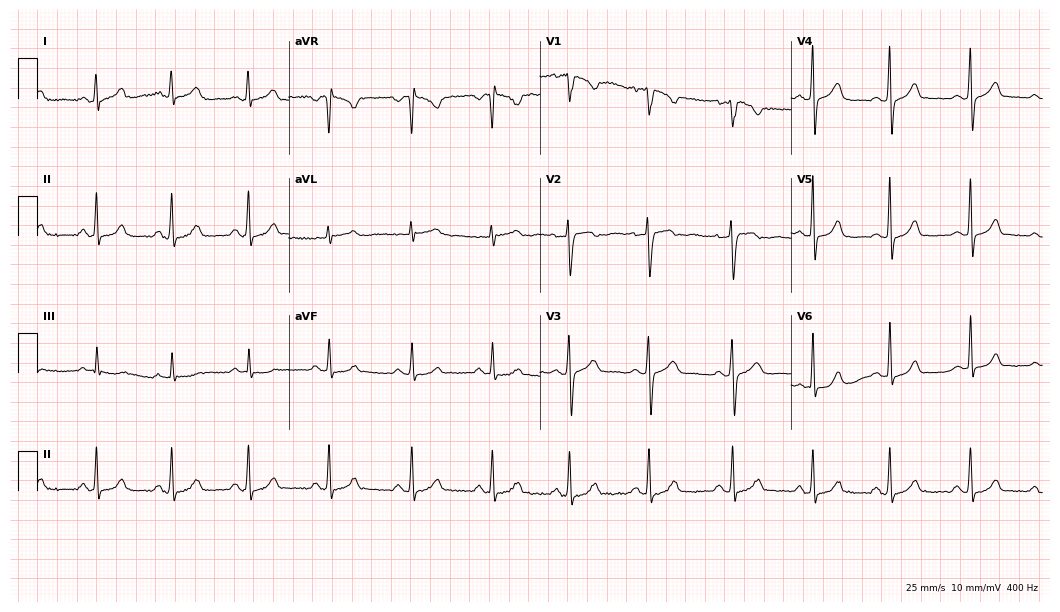
Standard 12-lead ECG recorded from a female patient, 20 years old (10.2-second recording at 400 Hz). Read as a normal ECG.